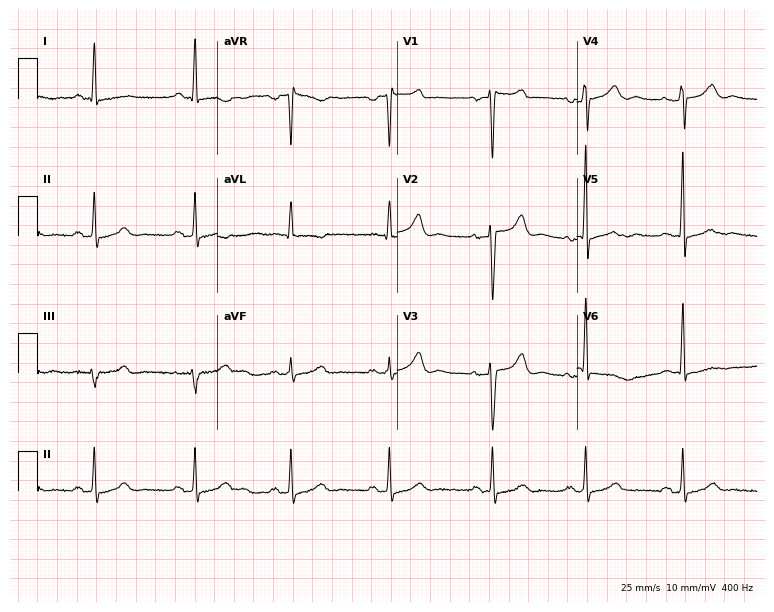
ECG — a 35-year-old woman. Screened for six findings — first-degree AV block, right bundle branch block, left bundle branch block, sinus bradycardia, atrial fibrillation, sinus tachycardia — none is recorded. Only these six findings were labelled.